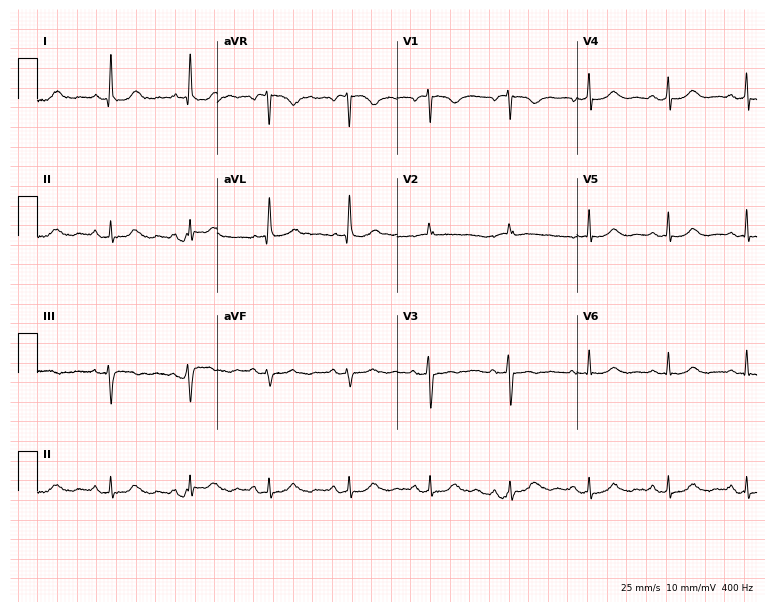
12-lead ECG from a 58-year-old woman (7.3-second recording at 400 Hz). No first-degree AV block, right bundle branch block, left bundle branch block, sinus bradycardia, atrial fibrillation or sinus tachycardia recorded for this tracing.